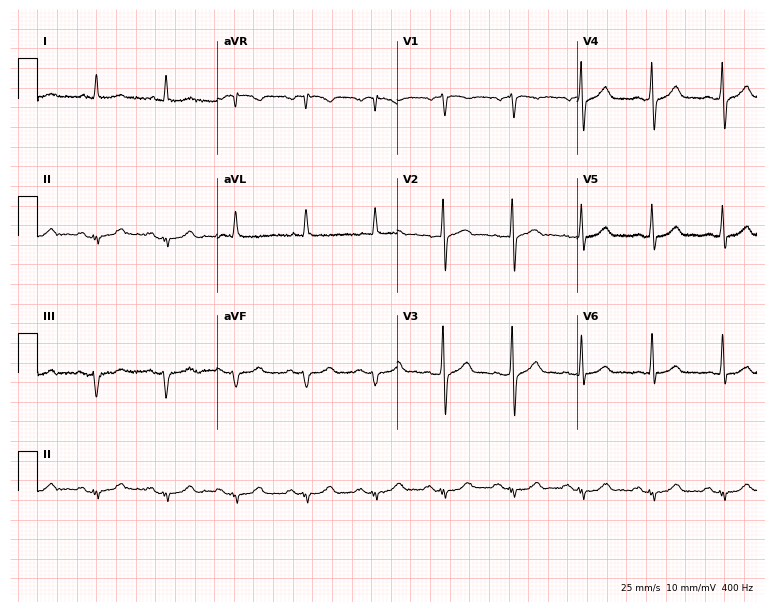
12-lead ECG from a male, 68 years old. Screened for six findings — first-degree AV block, right bundle branch block (RBBB), left bundle branch block (LBBB), sinus bradycardia, atrial fibrillation (AF), sinus tachycardia — none is recorded. Other findings, if any, are not listed.